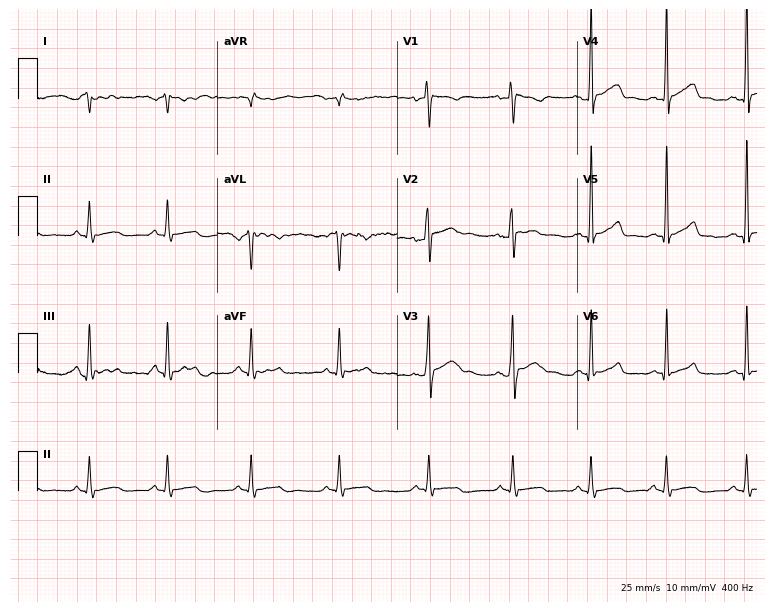
Electrocardiogram (7.3-second recording at 400 Hz), a male, 27 years old. Of the six screened findings (first-degree AV block, right bundle branch block, left bundle branch block, sinus bradycardia, atrial fibrillation, sinus tachycardia), none is recorded.